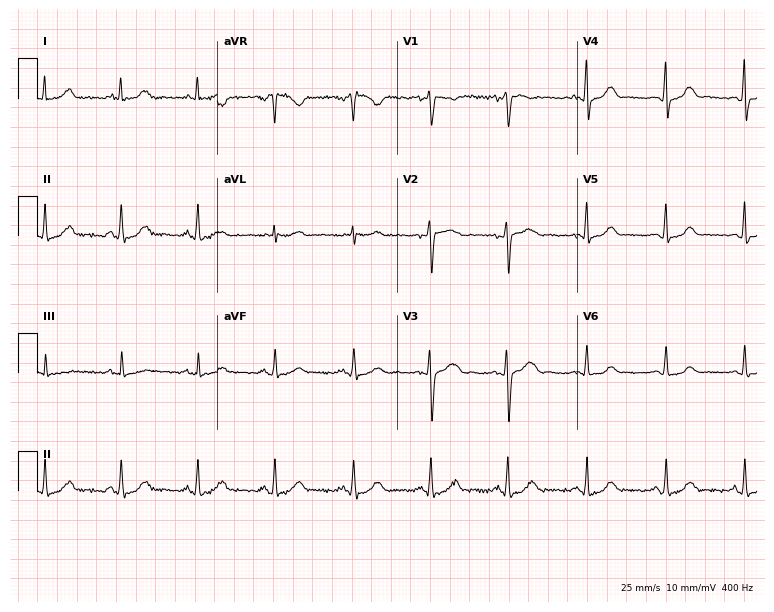
Resting 12-lead electrocardiogram. Patient: a woman, 40 years old. Read as a normal ECG.